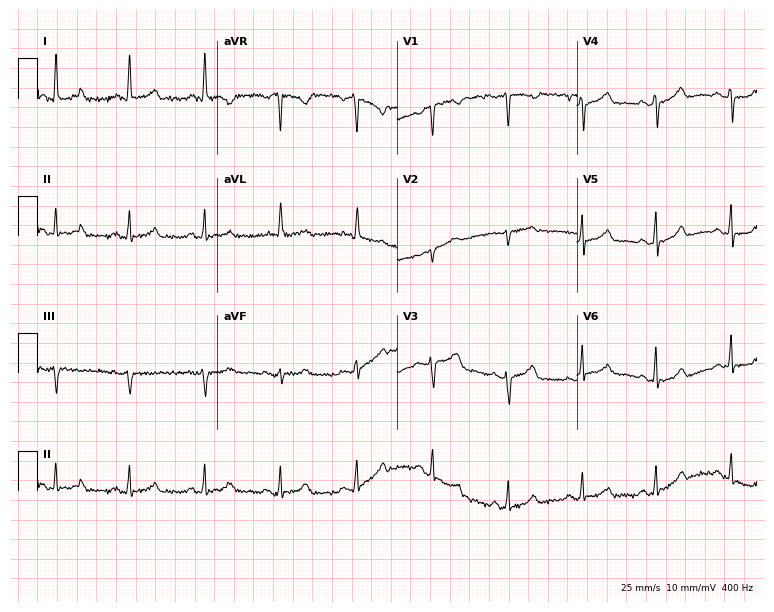
12-lead ECG from a woman, 56 years old. Labelled as a normal ECG.